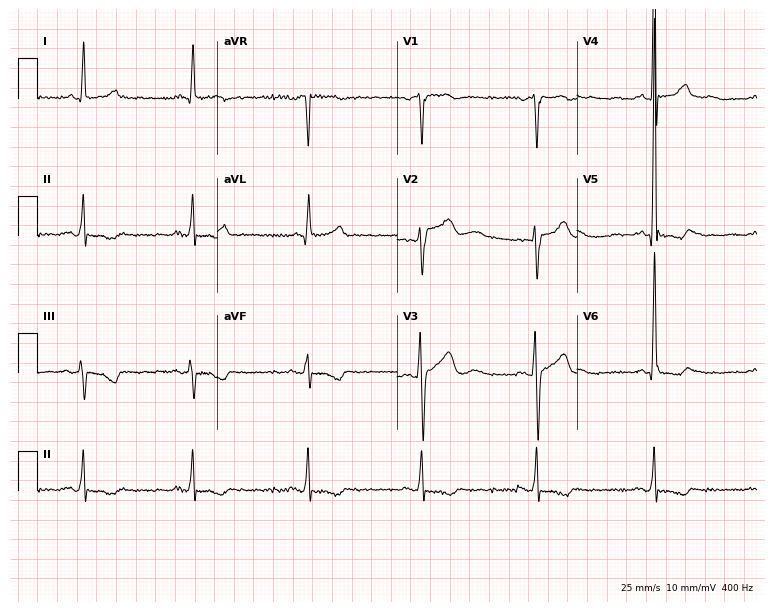
Resting 12-lead electrocardiogram. Patient: a man, 56 years old. None of these six findings is recorded: first-degree AV block, right bundle branch block, left bundle branch block, sinus bradycardia, atrial fibrillation, sinus tachycardia. Other findings, if any, are not listed.